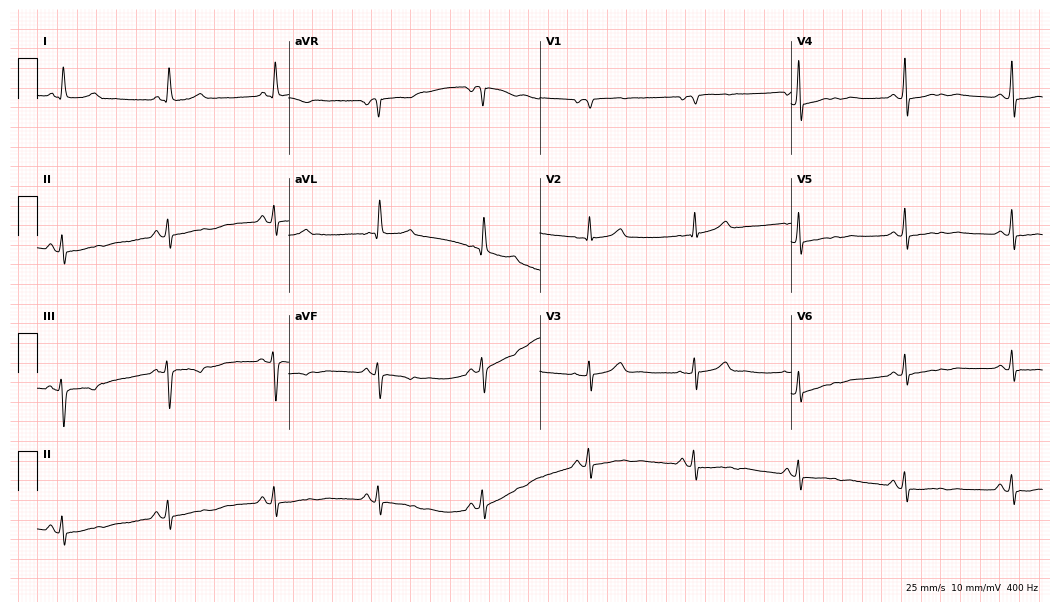
Electrocardiogram, a 74-year-old female. Overall reading on record: normal ECG.